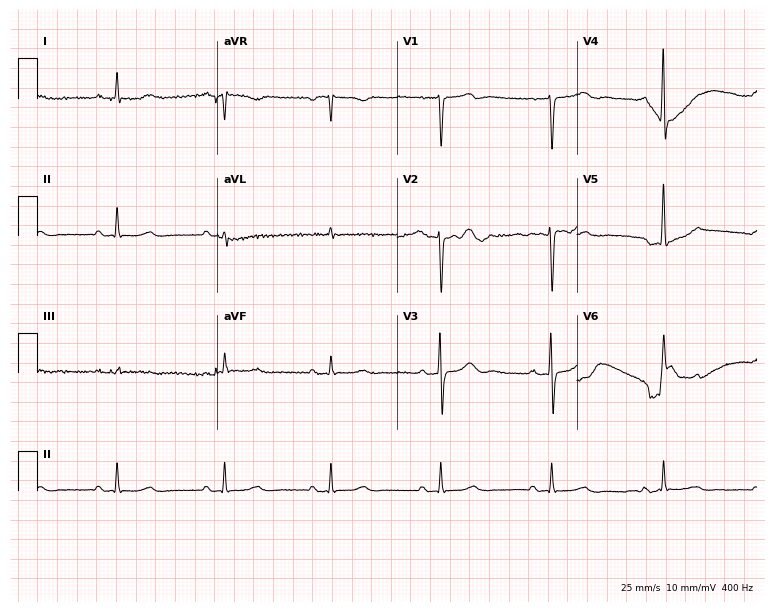
Electrocardiogram (7.3-second recording at 400 Hz), a male patient, 79 years old. Of the six screened findings (first-degree AV block, right bundle branch block (RBBB), left bundle branch block (LBBB), sinus bradycardia, atrial fibrillation (AF), sinus tachycardia), none is recorded.